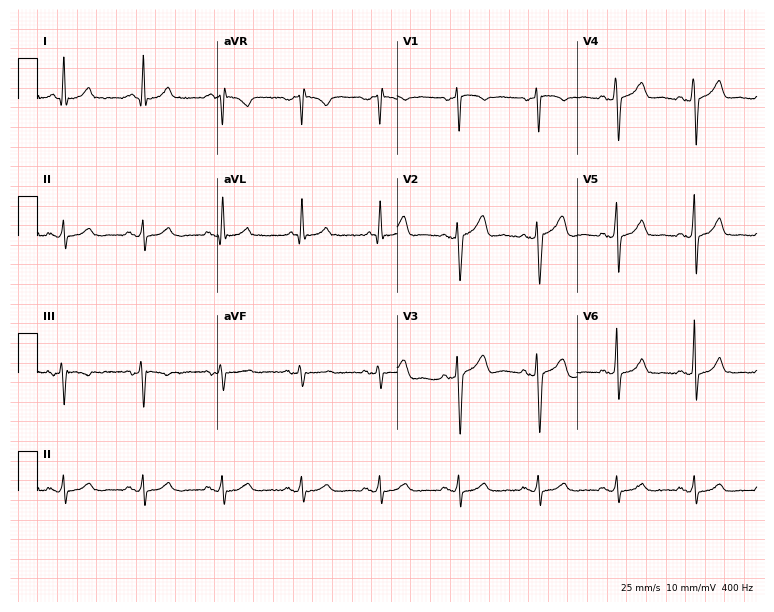
12-lead ECG from a man, 60 years old. Recorded interpretation: within normal limits.